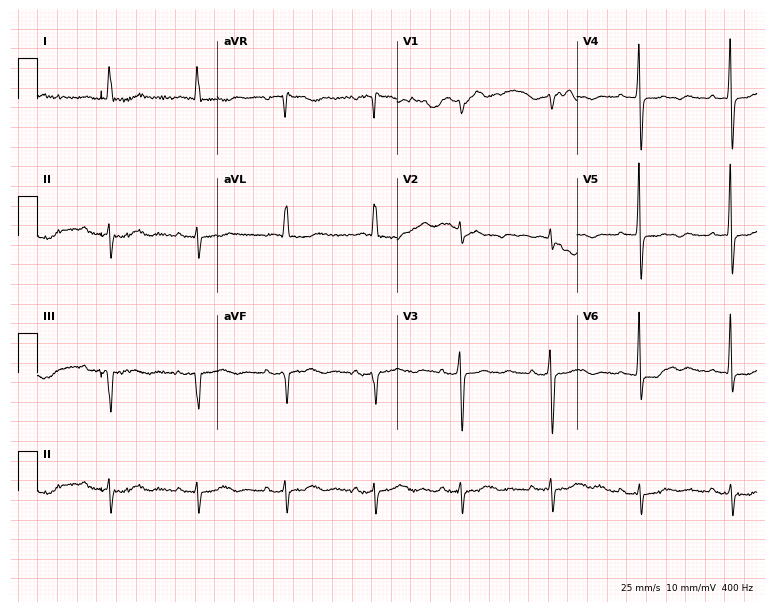
ECG (7.3-second recording at 400 Hz) — a 76-year-old female. Screened for six findings — first-degree AV block, right bundle branch block, left bundle branch block, sinus bradycardia, atrial fibrillation, sinus tachycardia — none is recorded.